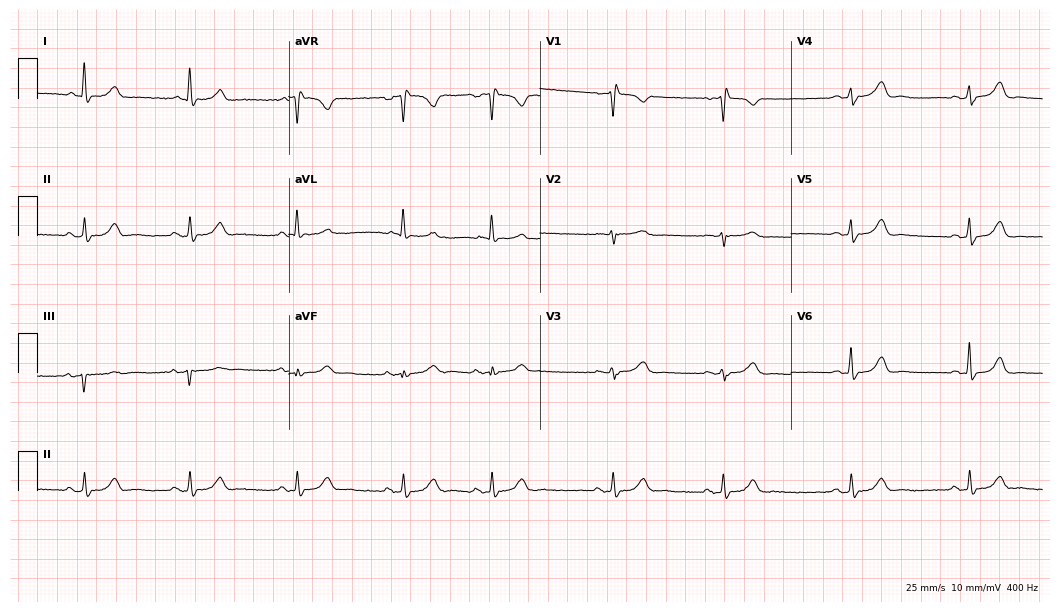
Standard 12-lead ECG recorded from a 64-year-old female (10.2-second recording at 400 Hz). None of these six findings is recorded: first-degree AV block, right bundle branch block, left bundle branch block, sinus bradycardia, atrial fibrillation, sinus tachycardia.